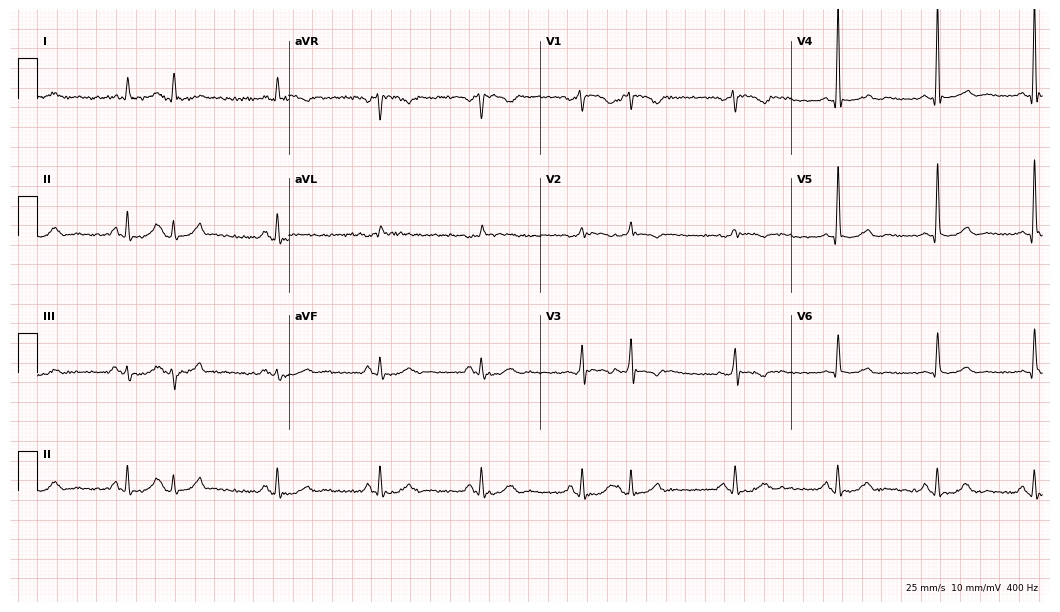
Standard 12-lead ECG recorded from a 74-year-old male (10.2-second recording at 400 Hz). None of these six findings is recorded: first-degree AV block, right bundle branch block, left bundle branch block, sinus bradycardia, atrial fibrillation, sinus tachycardia.